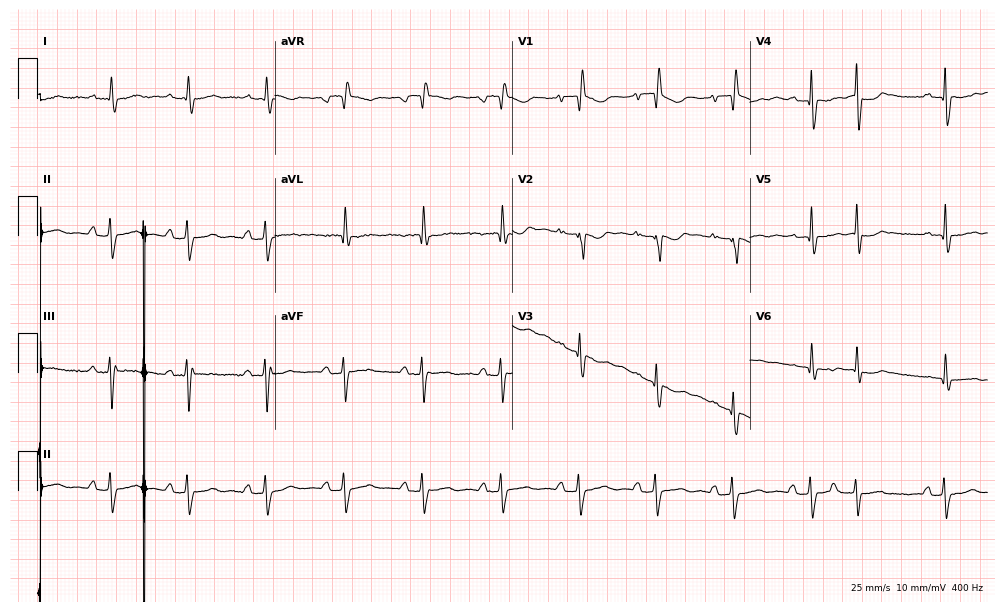
12-lead ECG from a 63-year-old woman (9.7-second recording at 400 Hz). No first-degree AV block, right bundle branch block (RBBB), left bundle branch block (LBBB), sinus bradycardia, atrial fibrillation (AF) or sinus tachycardia recorded for this tracing.